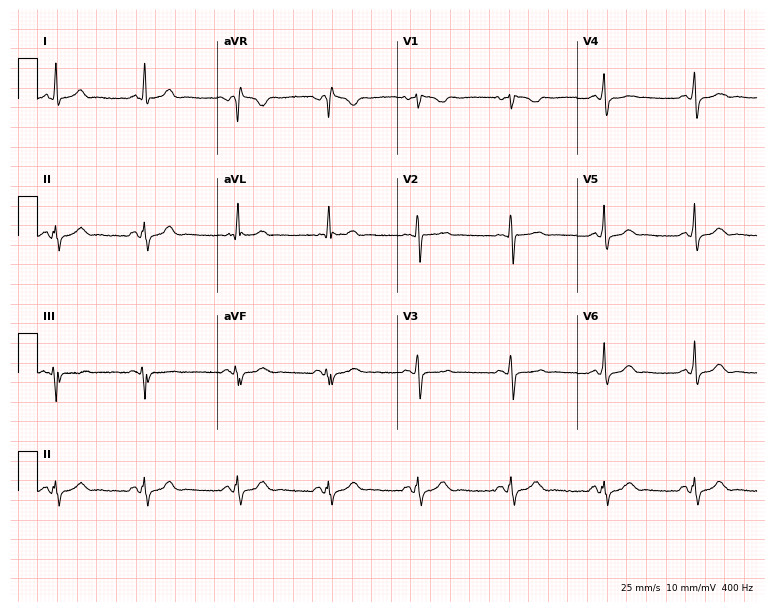
ECG — a female patient, 59 years old. Screened for six findings — first-degree AV block, right bundle branch block (RBBB), left bundle branch block (LBBB), sinus bradycardia, atrial fibrillation (AF), sinus tachycardia — none is recorded.